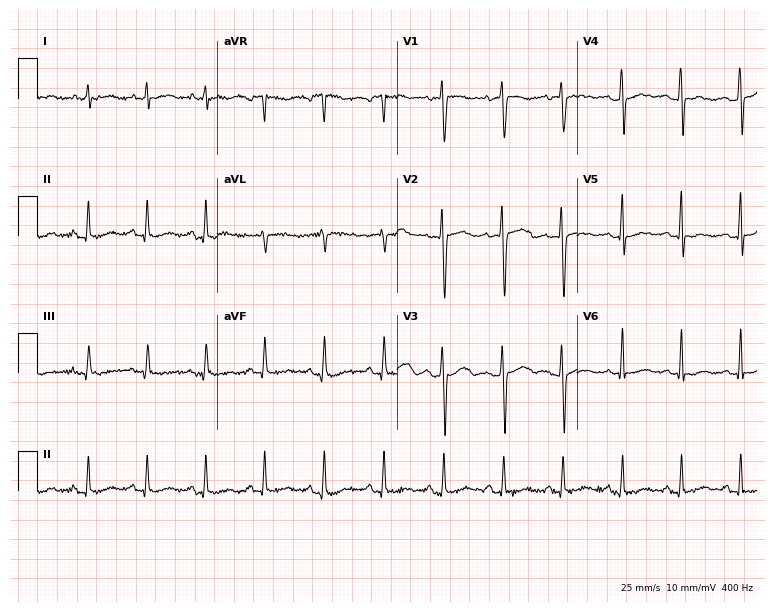
12-lead ECG from a woman, 20 years old (7.3-second recording at 400 Hz). No first-degree AV block, right bundle branch block (RBBB), left bundle branch block (LBBB), sinus bradycardia, atrial fibrillation (AF) or sinus tachycardia recorded for this tracing.